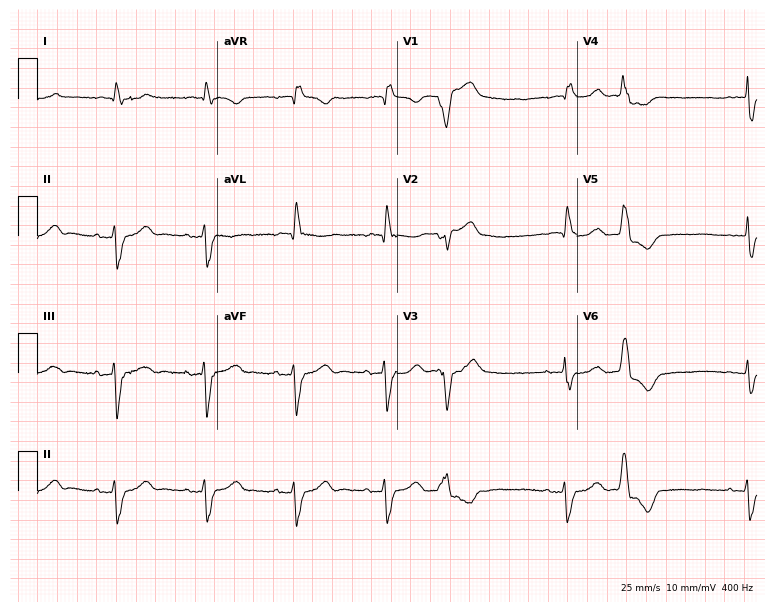
Resting 12-lead electrocardiogram. Patient: a 76-year-old woman. The tracing shows right bundle branch block.